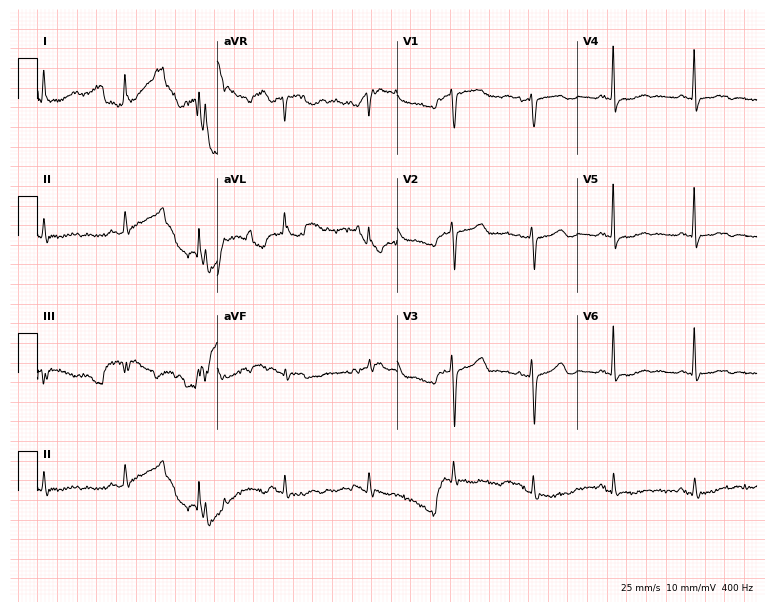
Resting 12-lead electrocardiogram. Patient: an 82-year-old woman. None of these six findings is recorded: first-degree AV block, right bundle branch block (RBBB), left bundle branch block (LBBB), sinus bradycardia, atrial fibrillation (AF), sinus tachycardia. Findings outside these six are not listed.